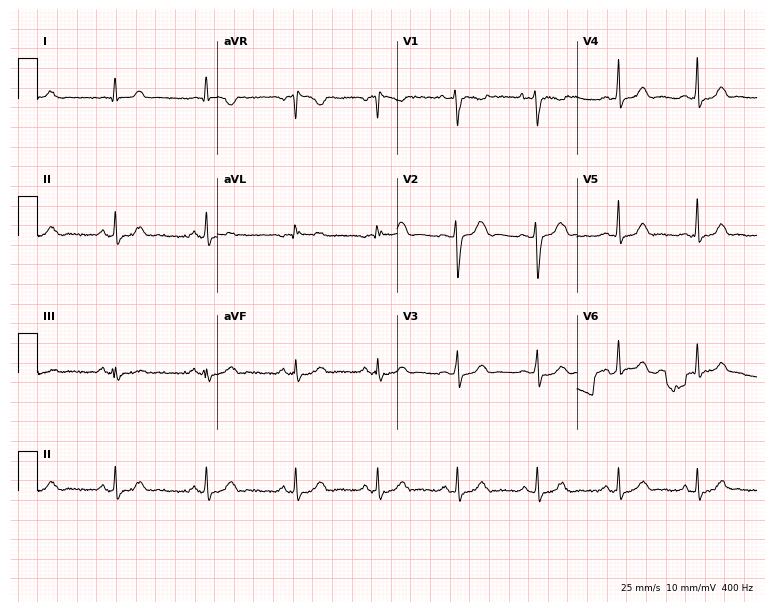
Resting 12-lead electrocardiogram. Patient: a 24-year-old woman. None of these six findings is recorded: first-degree AV block, right bundle branch block, left bundle branch block, sinus bradycardia, atrial fibrillation, sinus tachycardia.